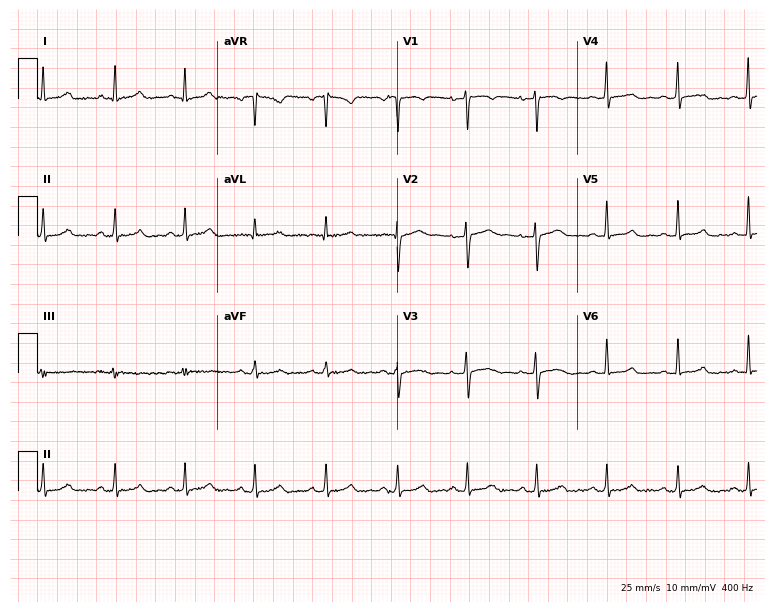
ECG — a 46-year-old woman. Labelled as a normal ECG.